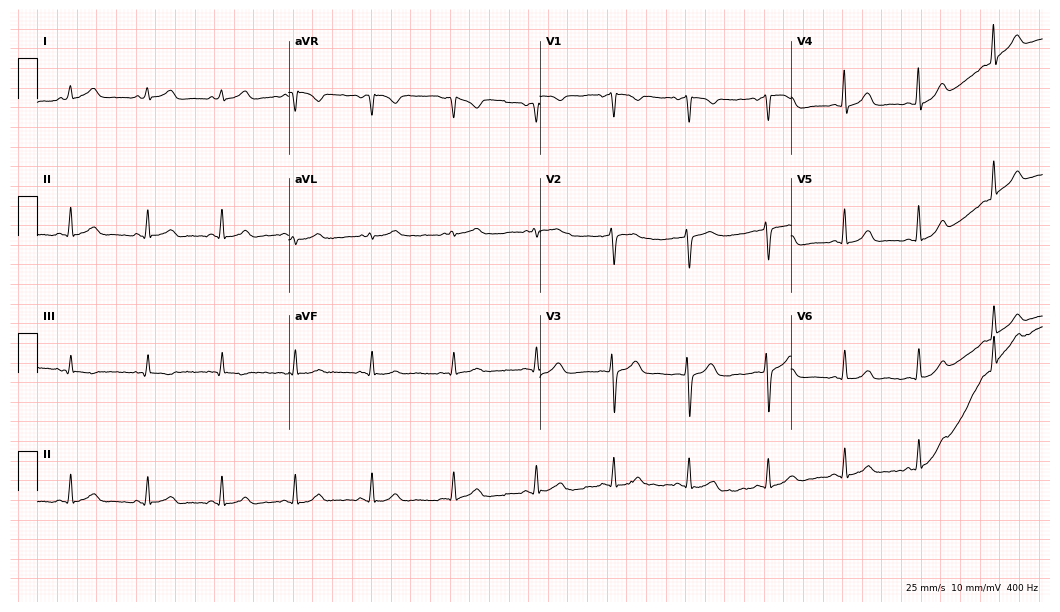
12-lead ECG from a female, 38 years old. Labelled as a normal ECG.